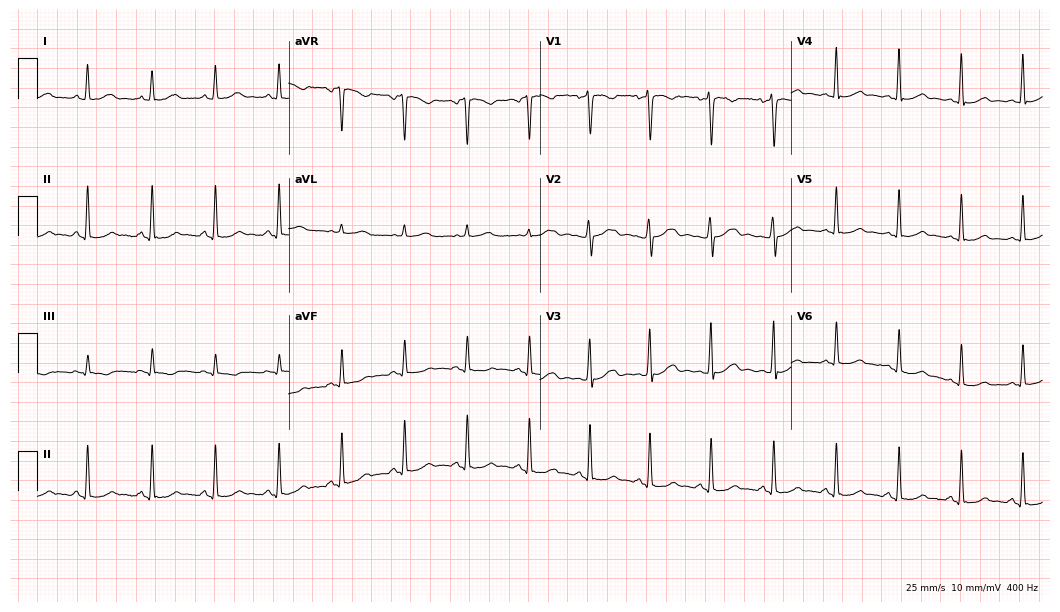
ECG (10.2-second recording at 400 Hz) — a 20-year-old female. Screened for six findings — first-degree AV block, right bundle branch block, left bundle branch block, sinus bradycardia, atrial fibrillation, sinus tachycardia — none is recorded.